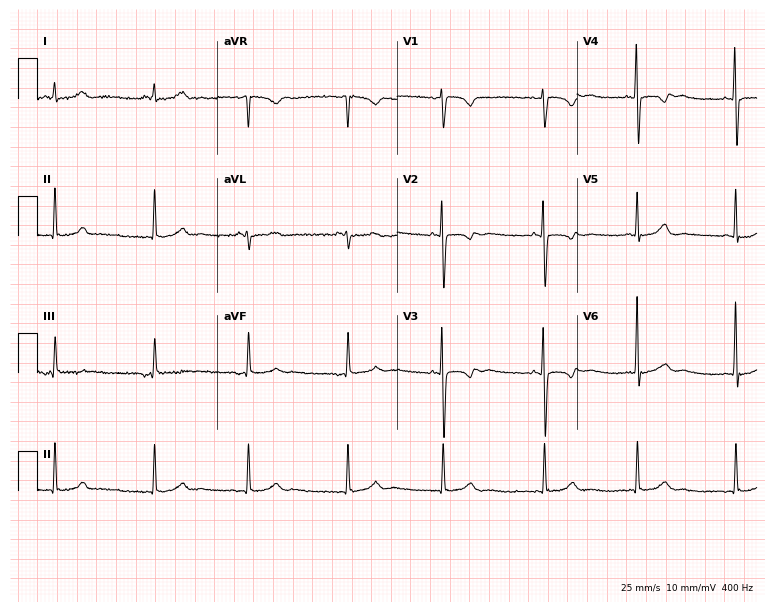
12-lead ECG (7.3-second recording at 400 Hz) from a 36-year-old female patient. Screened for six findings — first-degree AV block, right bundle branch block, left bundle branch block, sinus bradycardia, atrial fibrillation, sinus tachycardia — none is recorded. Findings outside these six are not listed.